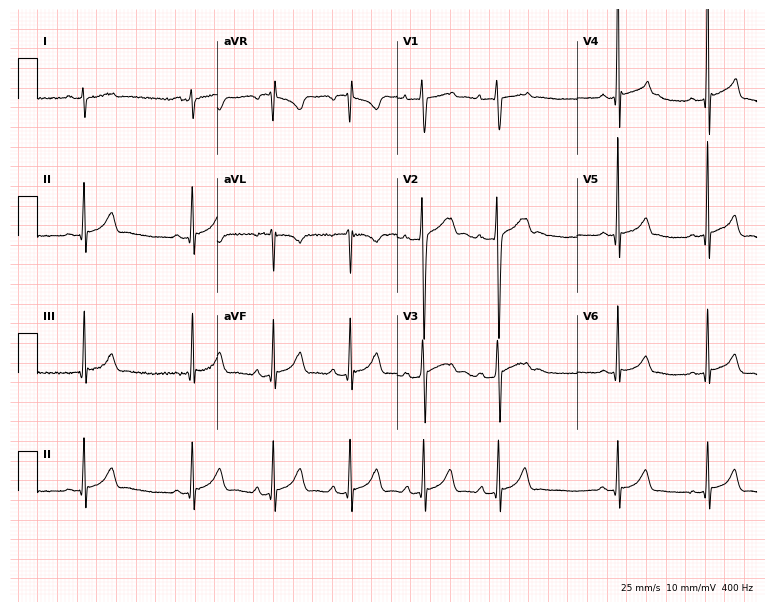
ECG — a 17-year-old male patient. Labelled as a normal ECG.